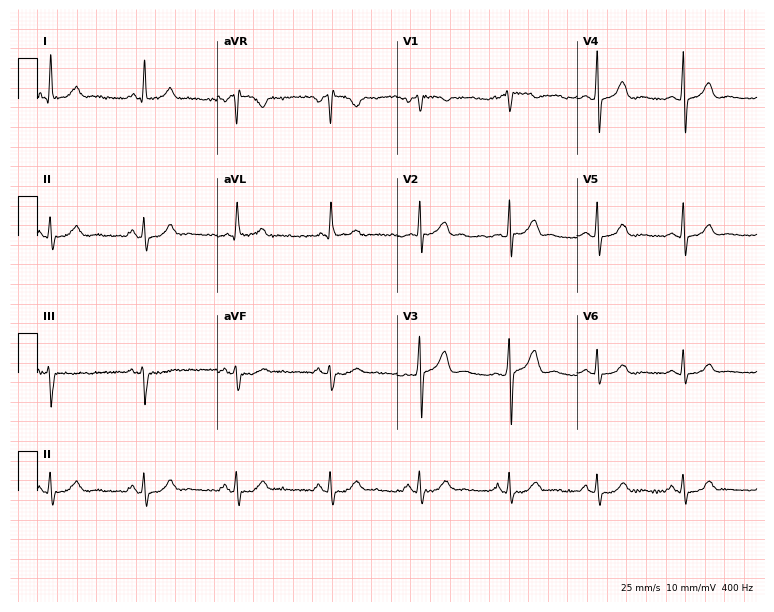
12-lead ECG from a 45-year-old female. Recorded interpretation: within normal limits.